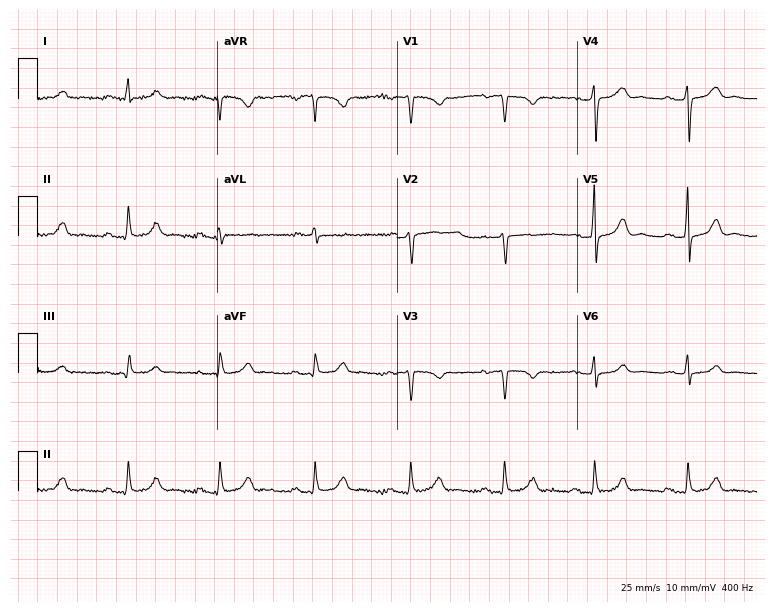
Standard 12-lead ECG recorded from a 49-year-old female. None of these six findings is recorded: first-degree AV block, right bundle branch block, left bundle branch block, sinus bradycardia, atrial fibrillation, sinus tachycardia. Only these six findings were labelled.